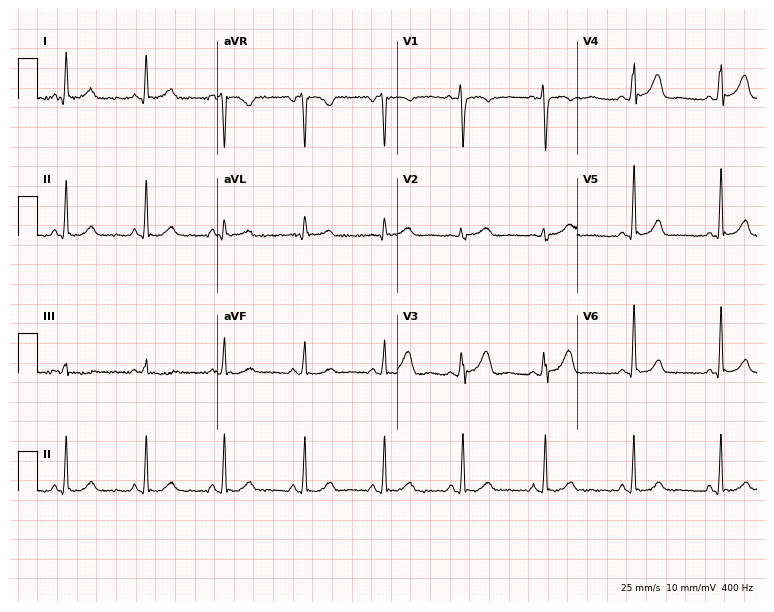
Electrocardiogram, a 34-year-old woman. Of the six screened findings (first-degree AV block, right bundle branch block (RBBB), left bundle branch block (LBBB), sinus bradycardia, atrial fibrillation (AF), sinus tachycardia), none is recorded.